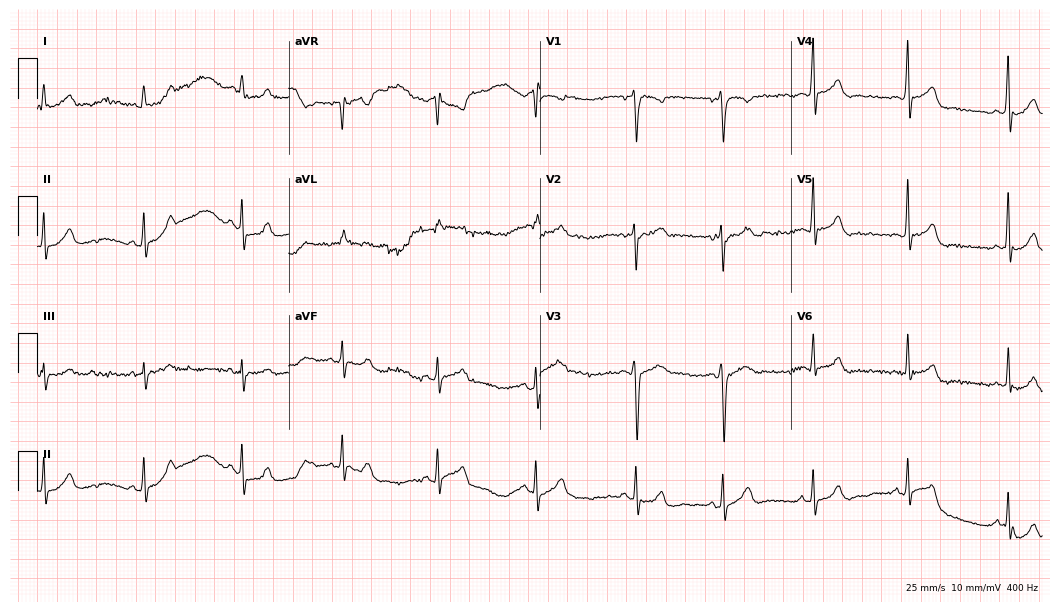
Resting 12-lead electrocardiogram (10.2-second recording at 400 Hz). Patient: a male, 19 years old. Read as a normal ECG.